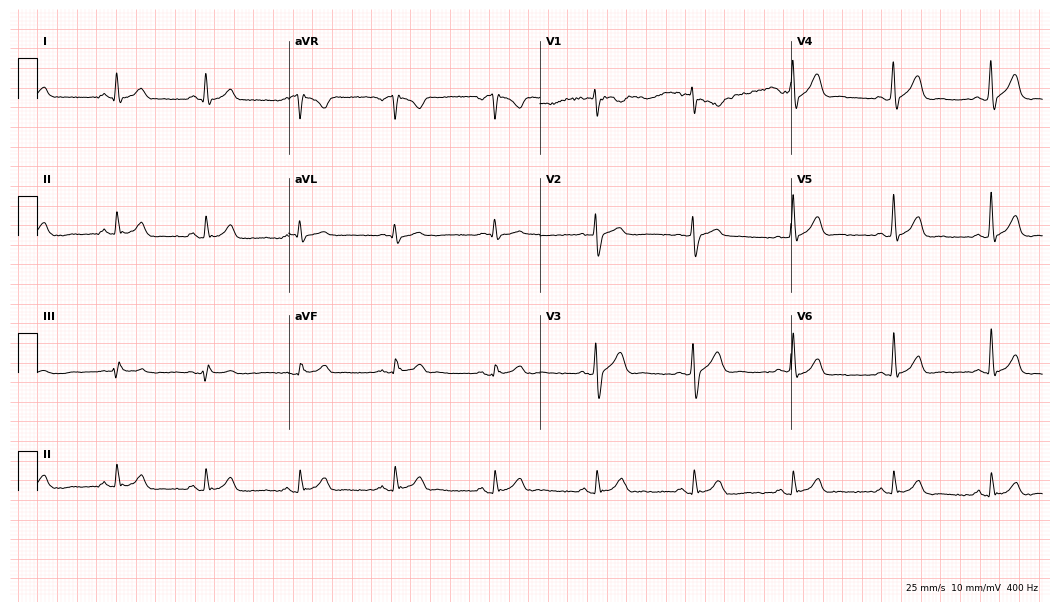
12-lead ECG from a 45-year-old man (10.2-second recording at 400 Hz). Recorded interpretation: within normal limits.